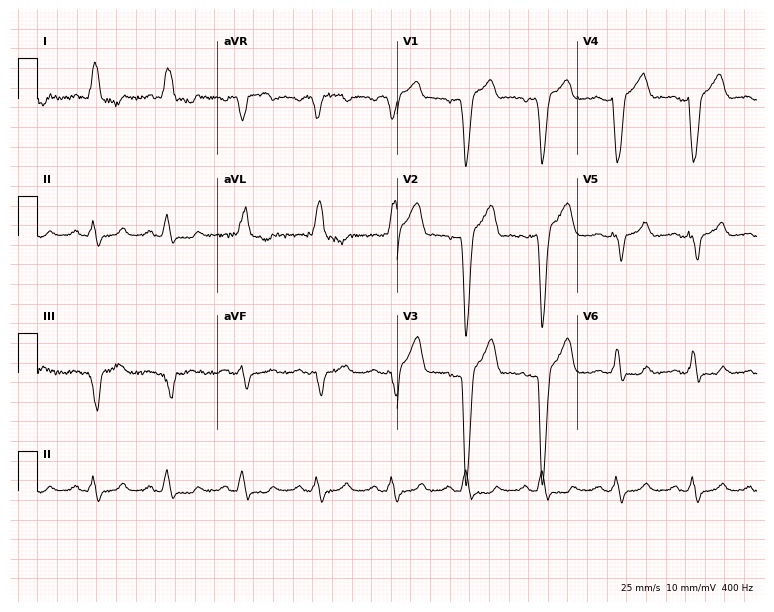
Standard 12-lead ECG recorded from a man, 56 years old. None of these six findings is recorded: first-degree AV block, right bundle branch block, left bundle branch block, sinus bradycardia, atrial fibrillation, sinus tachycardia. Other findings, if any, are not listed.